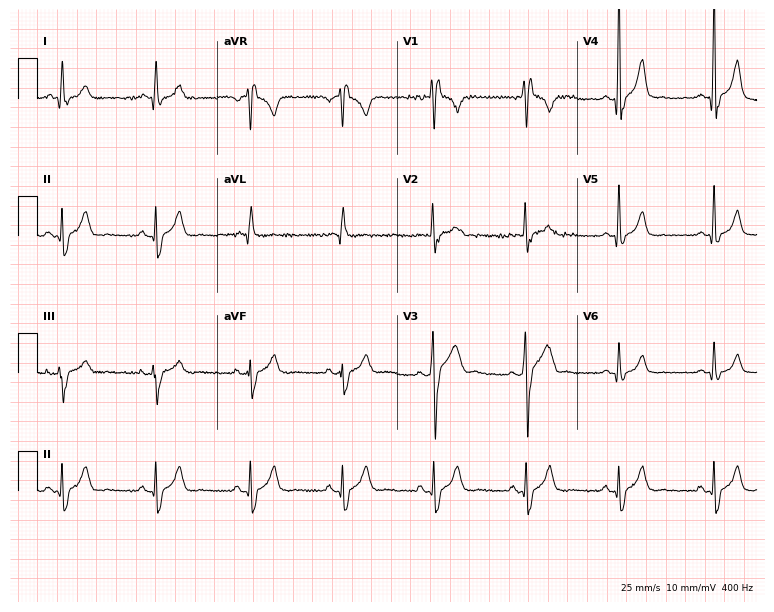
Electrocardiogram, a 26-year-old male. Of the six screened findings (first-degree AV block, right bundle branch block, left bundle branch block, sinus bradycardia, atrial fibrillation, sinus tachycardia), none is recorded.